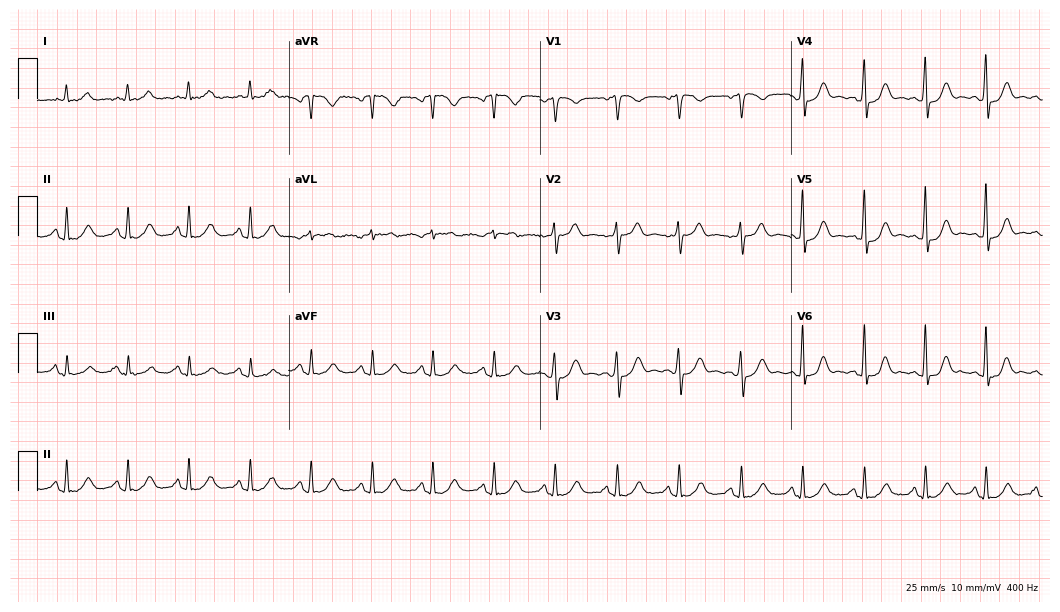
12-lead ECG (10.2-second recording at 400 Hz) from a 45-year-old man. Screened for six findings — first-degree AV block, right bundle branch block, left bundle branch block, sinus bradycardia, atrial fibrillation, sinus tachycardia — none is recorded. Findings outside these six are not listed.